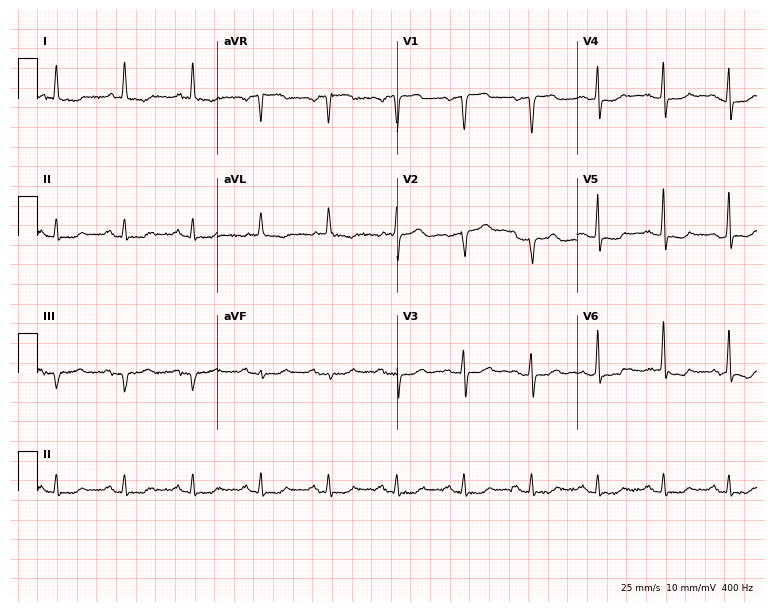
Electrocardiogram, a 72-year-old female. Of the six screened findings (first-degree AV block, right bundle branch block, left bundle branch block, sinus bradycardia, atrial fibrillation, sinus tachycardia), none is recorded. Other findings, if any, are not listed.